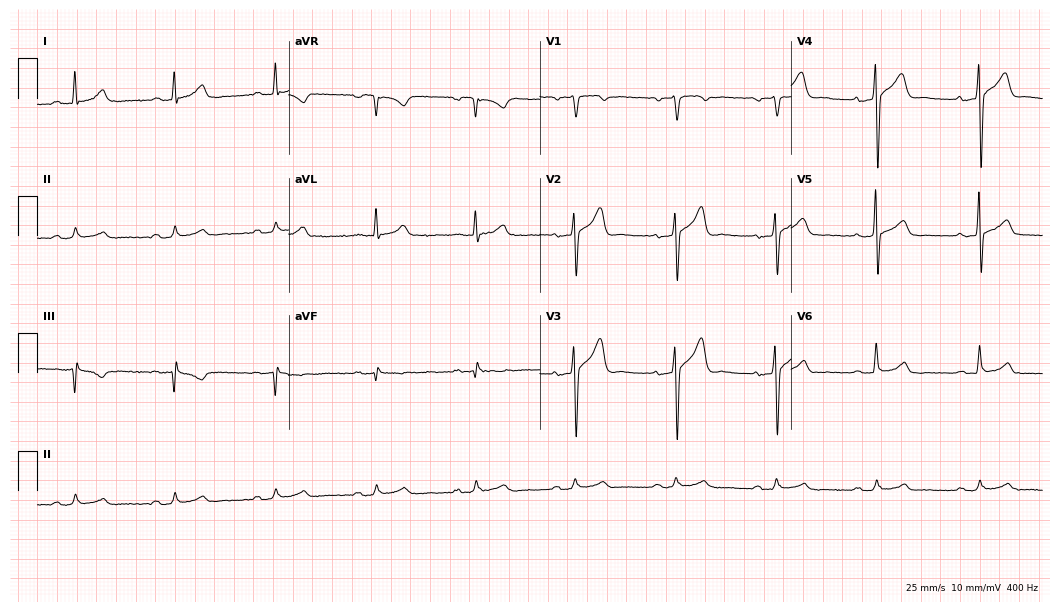
12-lead ECG from a 51-year-old man. Recorded interpretation: within normal limits.